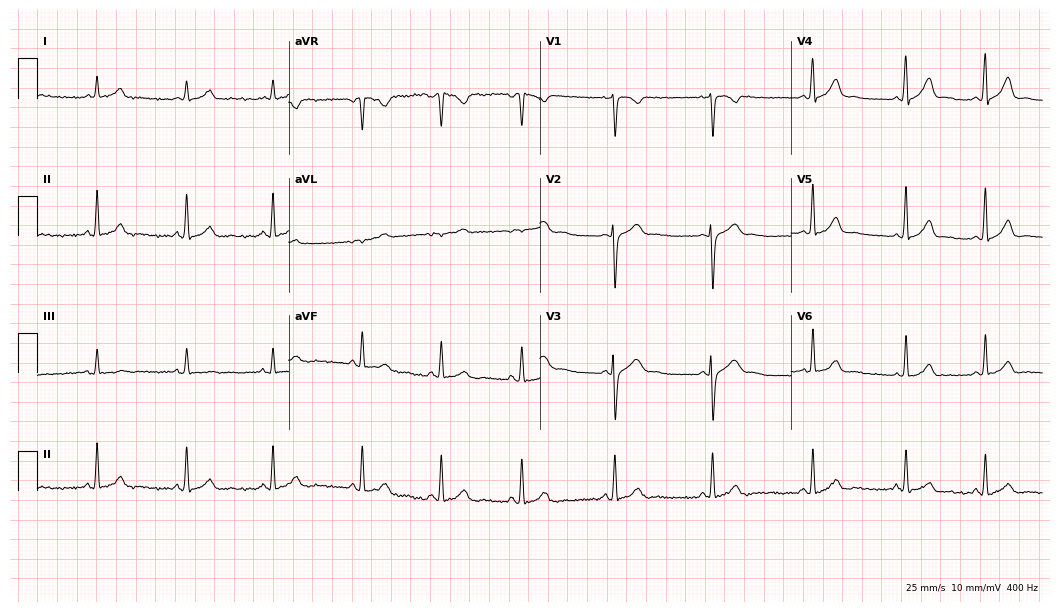
ECG — a 29-year-old woman. Screened for six findings — first-degree AV block, right bundle branch block, left bundle branch block, sinus bradycardia, atrial fibrillation, sinus tachycardia — none is recorded. Findings outside these six are not listed.